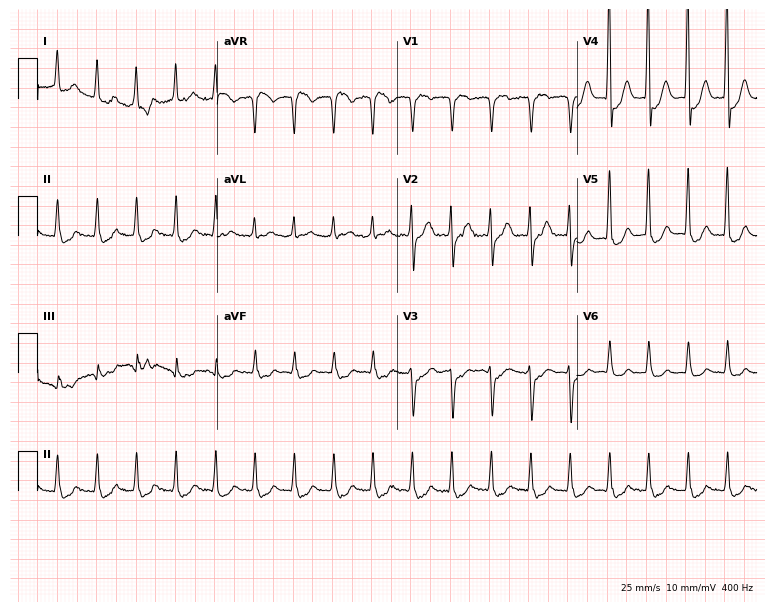
Resting 12-lead electrocardiogram. Patient: a male, 71 years old. The tracing shows atrial fibrillation (AF).